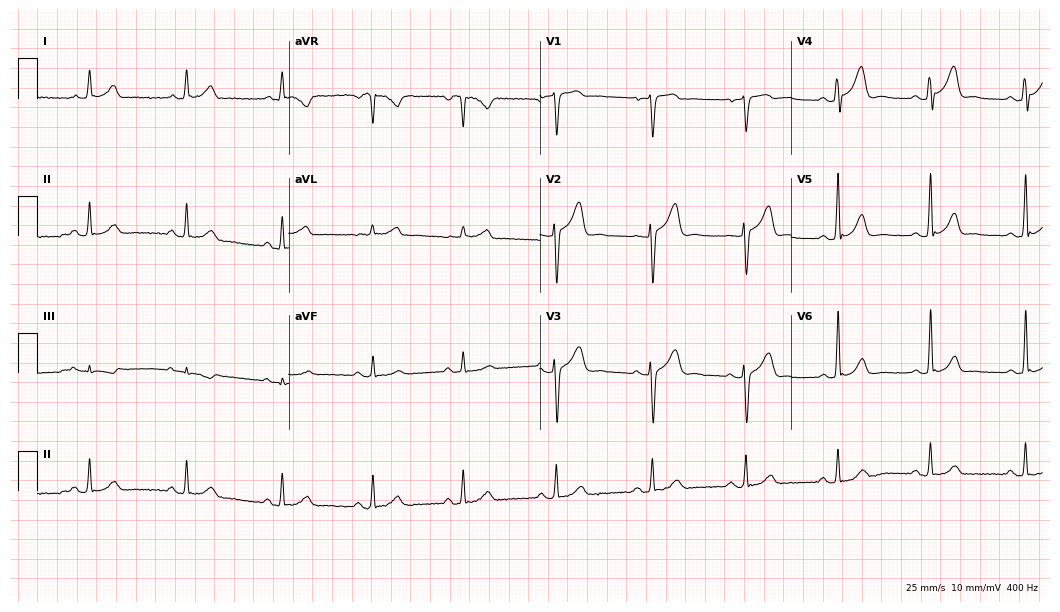
12-lead ECG (10.2-second recording at 400 Hz) from a man, 50 years old. Screened for six findings — first-degree AV block, right bundle branch block, left bundle branch block, sinus bradycardia, atrial fibrillation, sinus tachycardia — none is recorded. Other findings, if any, are not listed.